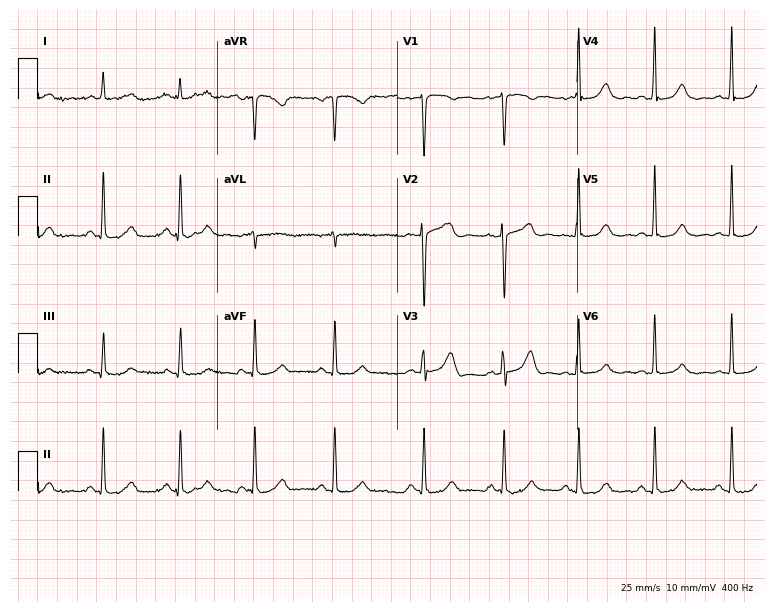
Resting 12-lead electrocardiogram (7.3-second recording at 400 Hz). Patient: a female, 39 years old. Read as a normal ECG.